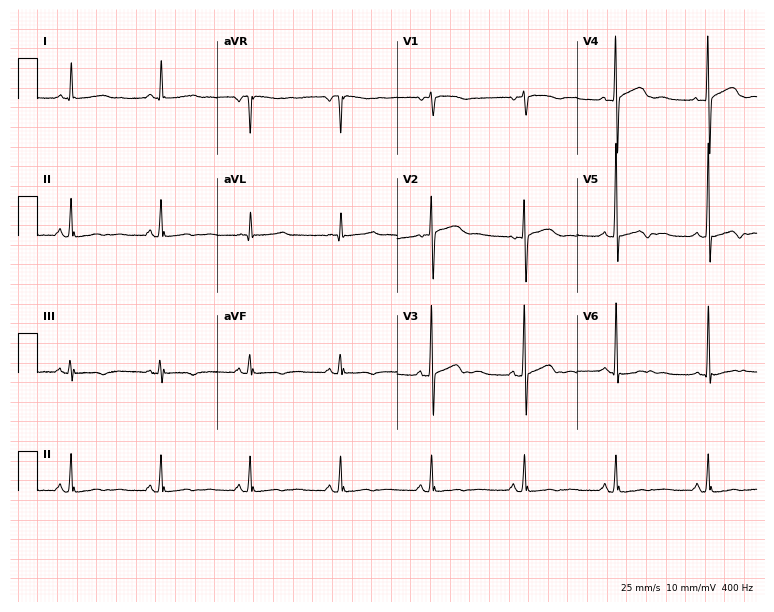
ECG (7.3-second recording at 400 Hz) — a 64-year-old woman. Screened for six findings — first-degree AV block, right bundle branch block, left bundle branch block, sinus bradycardia, atrial fibrillation, sinus tachycardia — none is recorded.